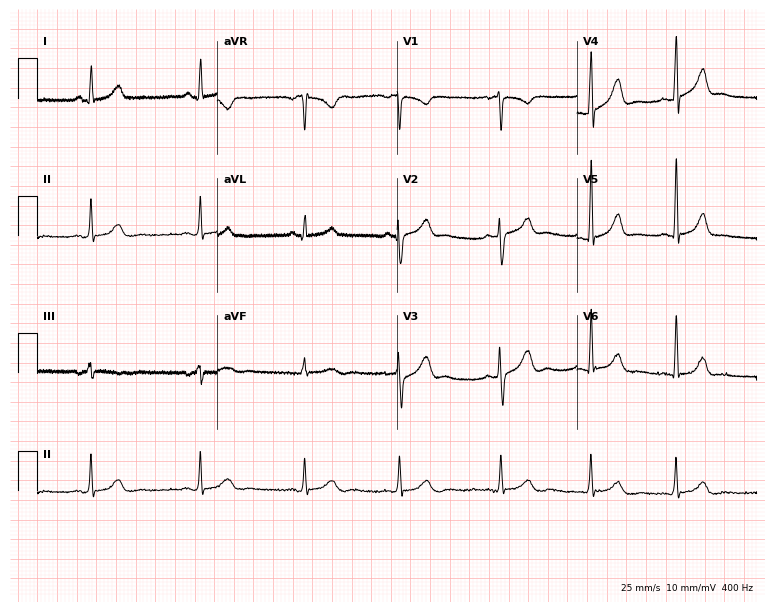
Electrocardiogram, a woman, 30 years old. Of the six screened findings (first-degree AV block, right bundle branch block (RBBB), left bundle branch block (LBBB), sinus bradycardia, atrial fibrillation (AF), sinus tachycardia), none is recorded. Other findings, if any, are not listed.